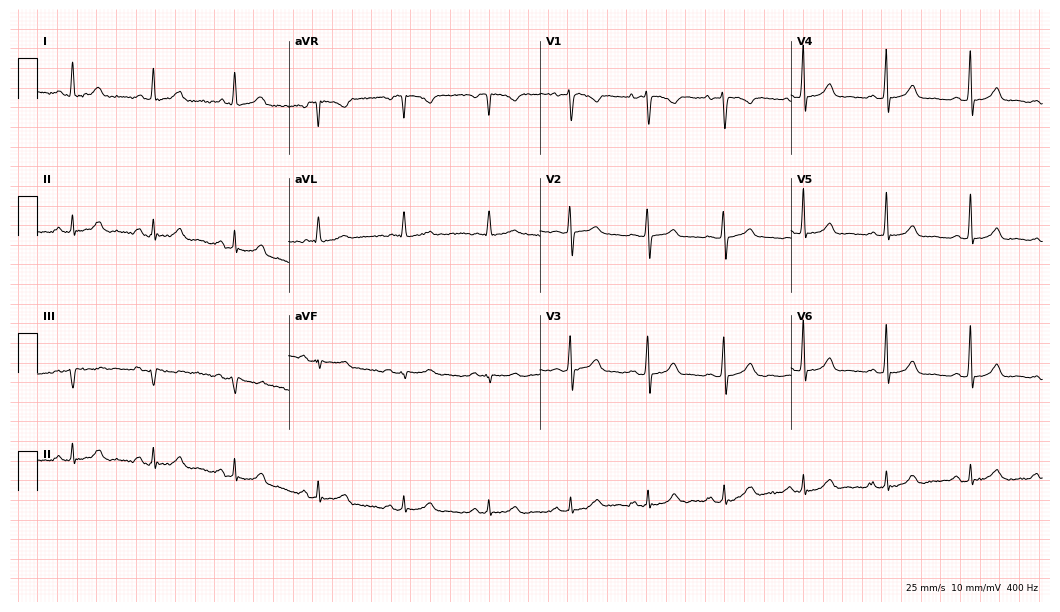
12-lead ECG from a 43-year-old female. Recorded interpretation: within normal limits.